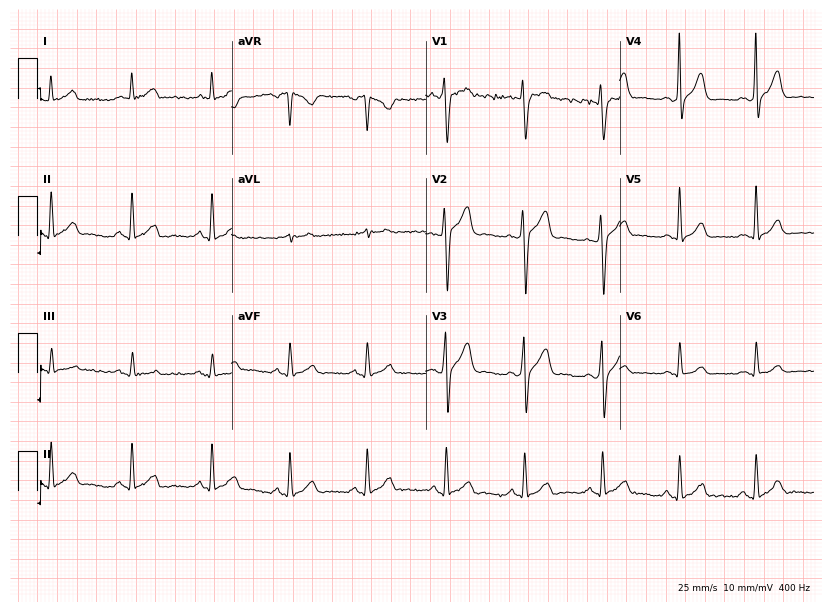
12-lead ECG from a male patient, 47 years old. Recorded interpretation: within normal limits.